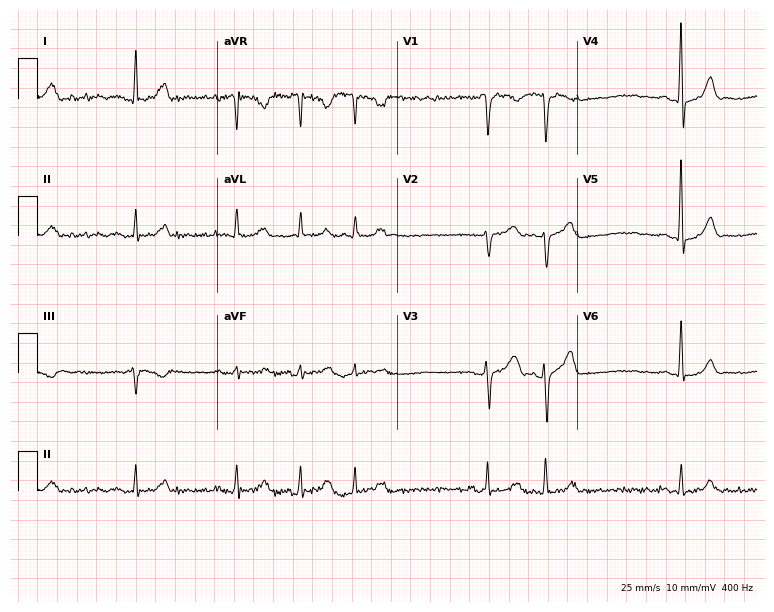
12-lead ECG from a 57-year-old male (7.3-second recording at 400 Hz). No first-degree AV block, right bundle branch block, left bundle branch block, sinus bradycardia, atrial fibrillation or sinus tachycardia recorded for this tracing. Only these six findings were labelled.